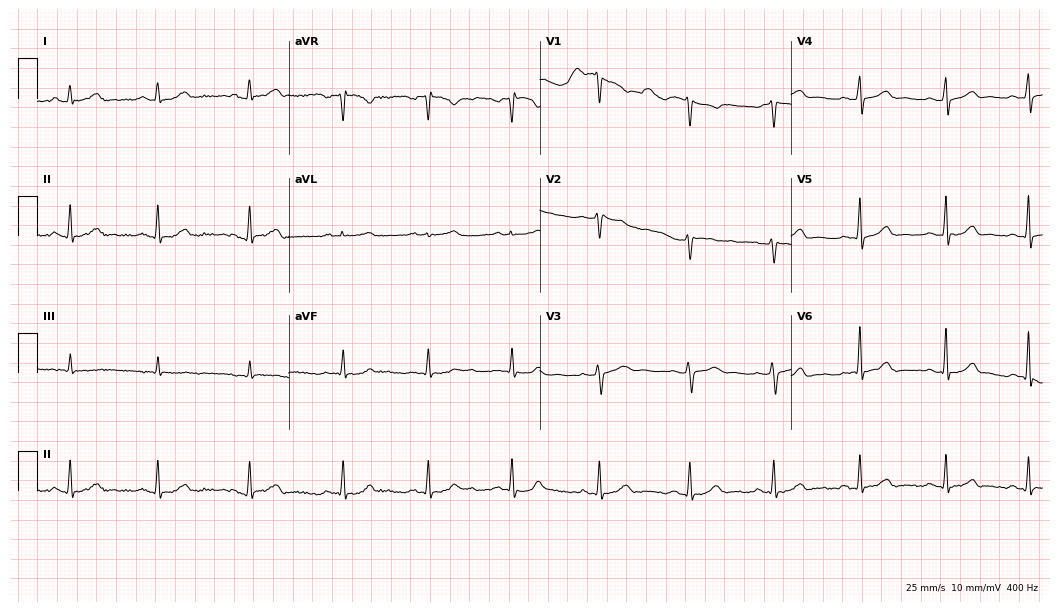
12-lead ECG (10.2-second recording at 400 Hz) from a 29-year-old female. Labelled as a normal ECG.